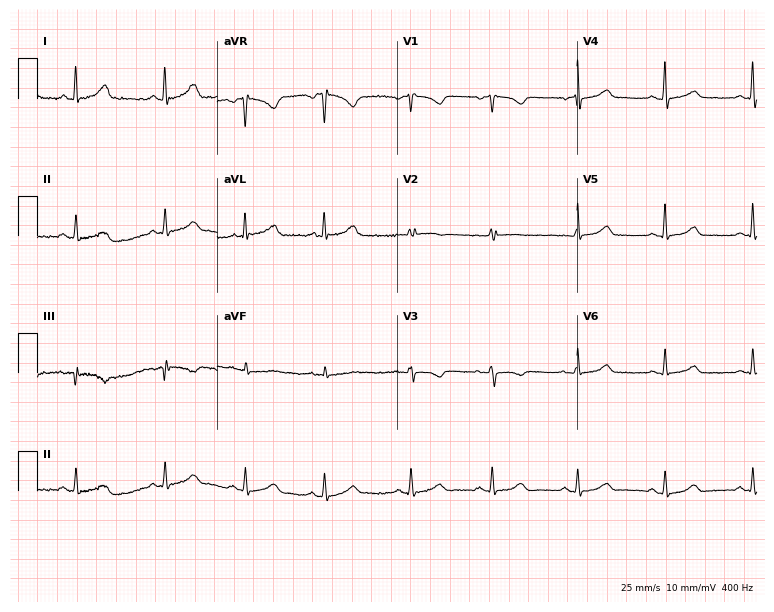
Resting 12-lead electrocardiogram. Patient: a 41-year-old female. Read as a normal ECG.